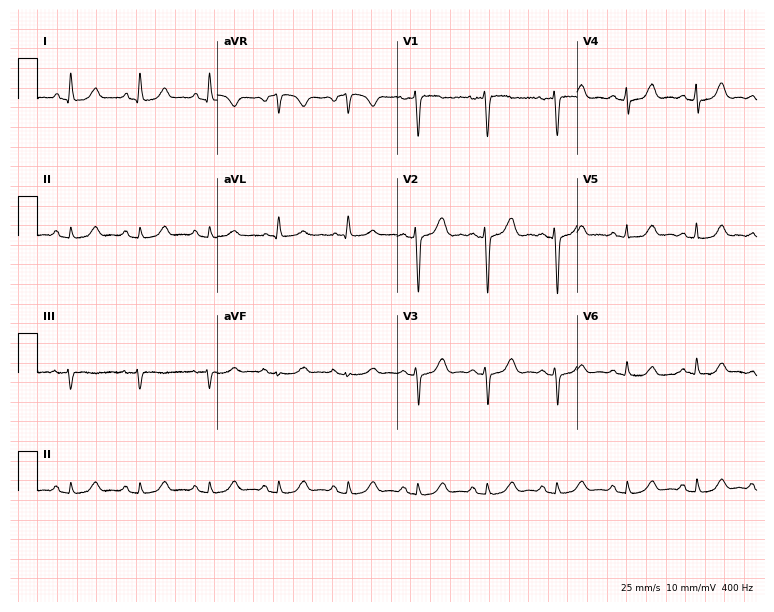
ECG (7.3-second recording at 400 Hz) — a female, 55 years old. Labelled as a normal ECG.